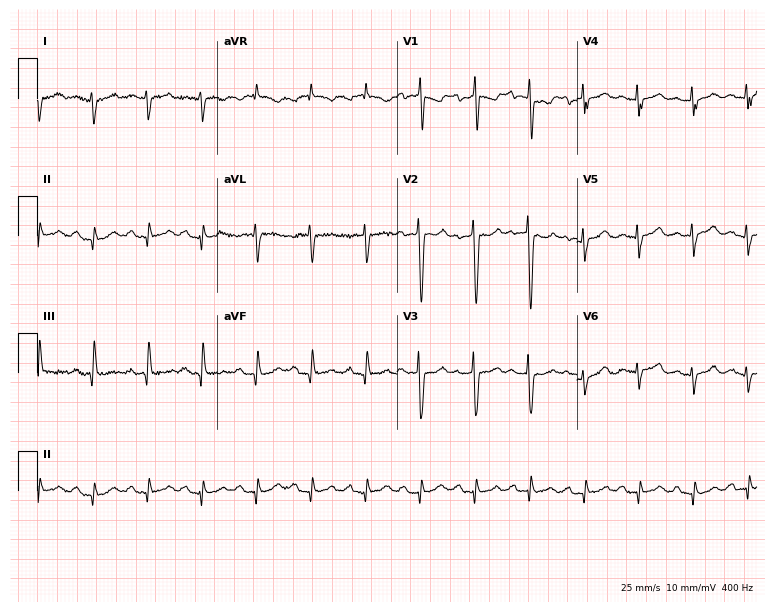
Resting 12-lead electrocardiogram. Patient: a female, 81 years old. None of these six findings is recorded: first-degree AV block, right bundle branch block (RBBB), left bundle branch block (LBBB), sinus bradycardia, atrial fibrillation (AF), sinus tachycardia. Findings outside these six are not listed.